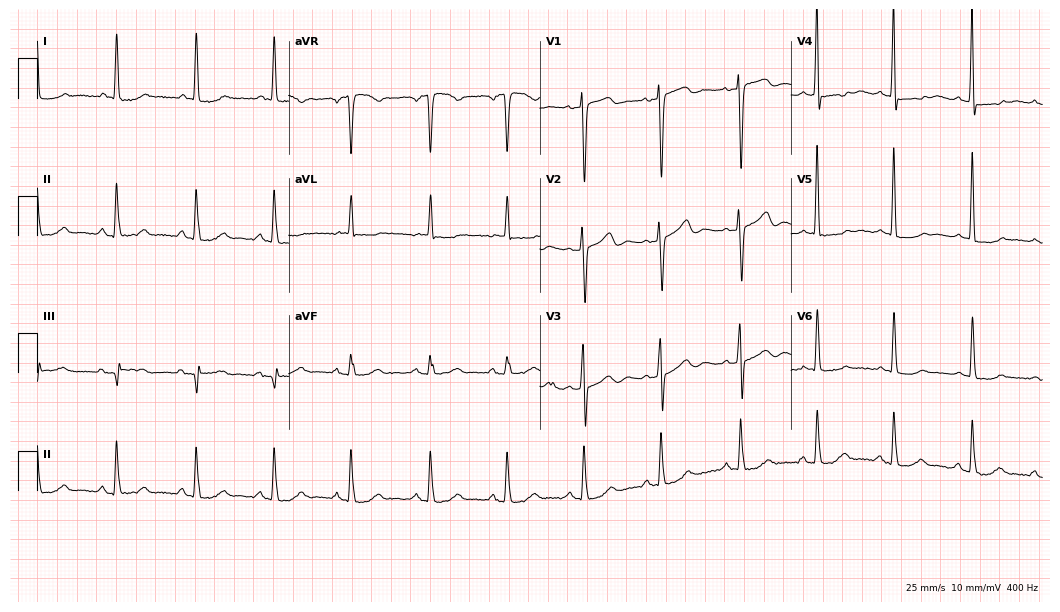
Resting 12-lead electrocardiogram. Patient: a female, 81 years old. None of these six findings is recorded: first-degree AV block, right bundle branch block, left bundle branch block, sinus bradycardia, atrial fibrillation, sinus tachycardia.